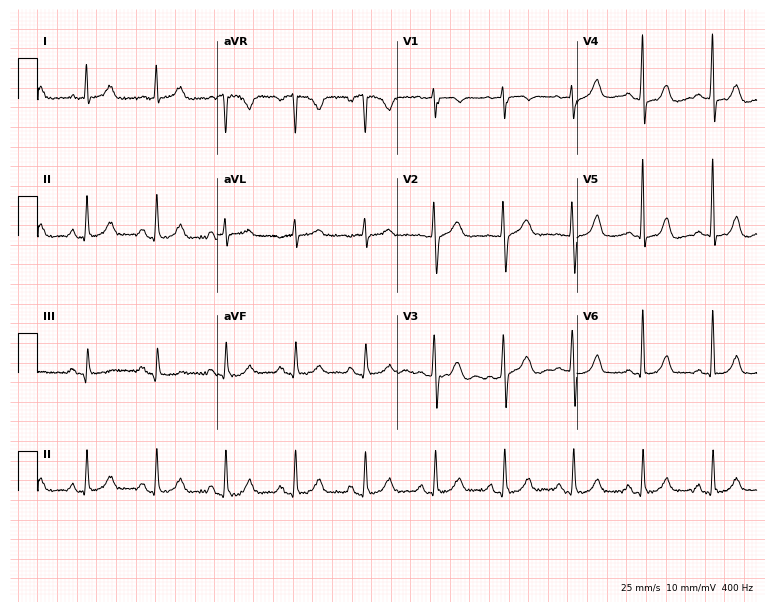
Resting 12-lead electrocardiogram (7.3-second recording at 400 Hz). Patient: a 64-year-old woman. None of these six findings is recorded: first-degree AV block, right bundle branch block, left bundle branch block, sinus bradycardia, atrial fibrillation, sinus tachycardia.